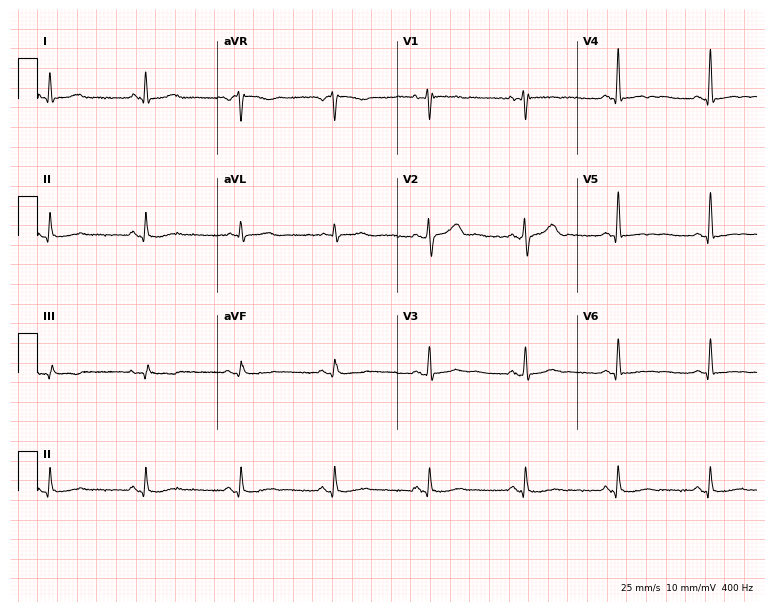
12-lead ECG from a man, 47 years old (7.3-second recording at 400 Hz). Recorded interpretation: within normal limits.